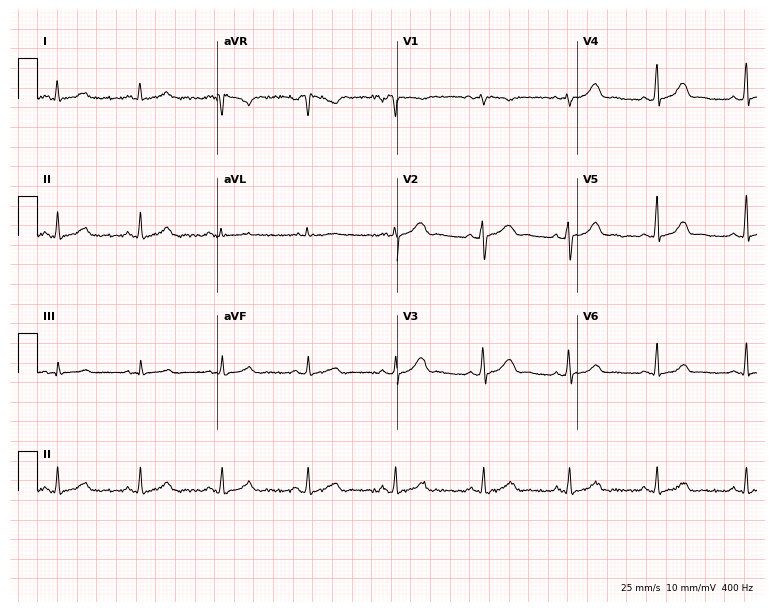
ECG (7.3-second recording at 400 Hz) — a female, 32 years old. Labelled as a normal ECG.